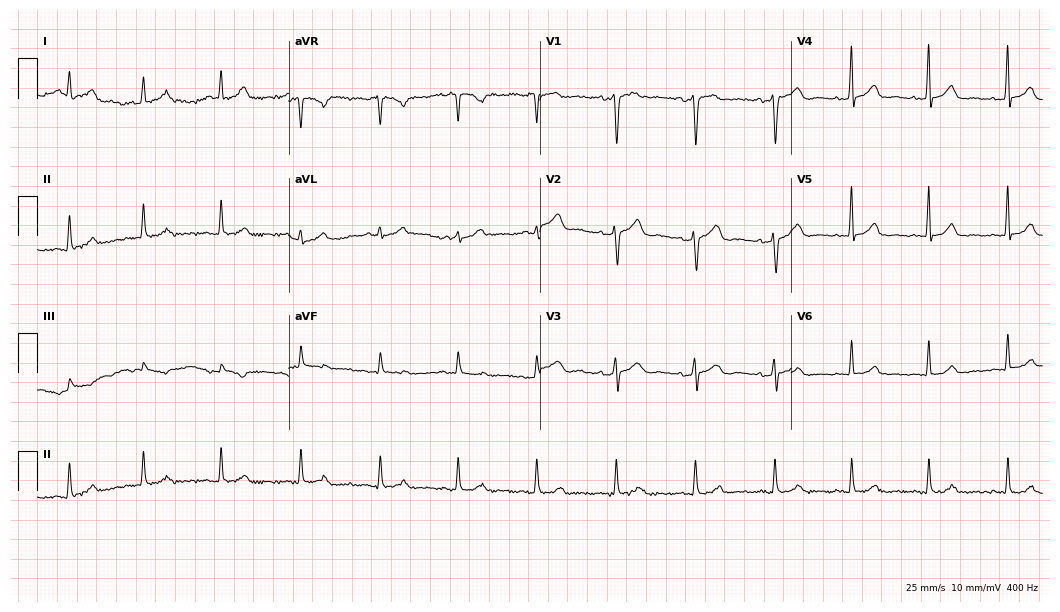
Resting 12-lead electrocardiogram. Patient: a female, 36 years old. Read as a normal ECG.